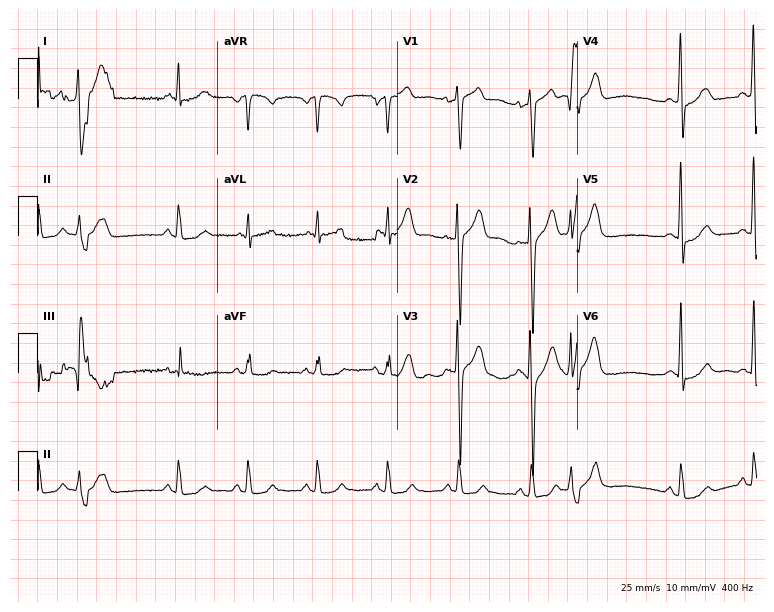
12-lead ECG from a 46-year-old male patient. Labelled as a normal ECG.